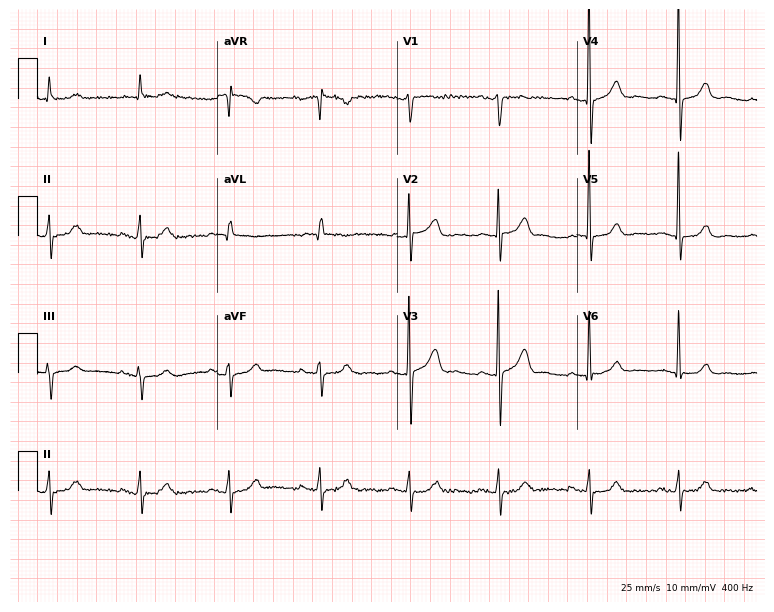
12-lead ECG from an 84-year-old male. Labelled as a normal ECG.